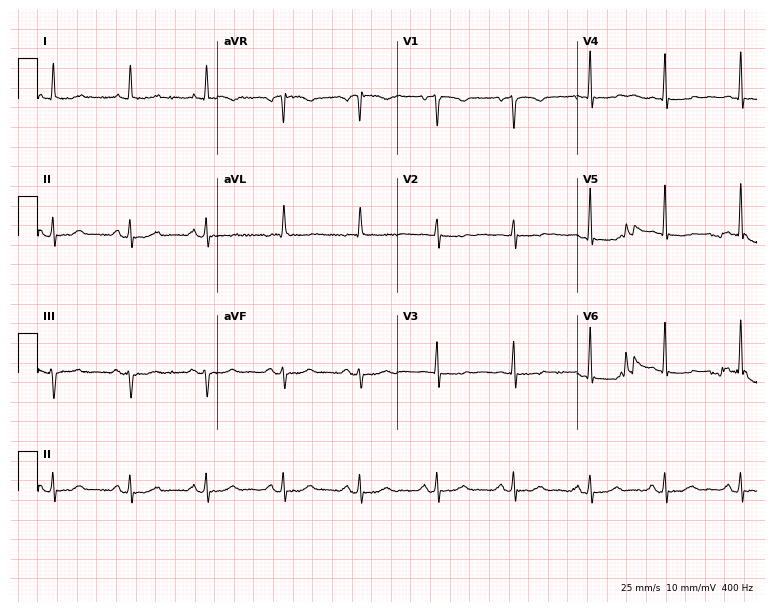
Standard 12-lead ECG recorded from a woman, 65 years old. None of these six findings is recorded: first-degree AV block, right bundle branch block (RBBB), left bundle branch block (LBBB), sinus bradycardia, atrial fibrillation (AF), sinus tachycardia.